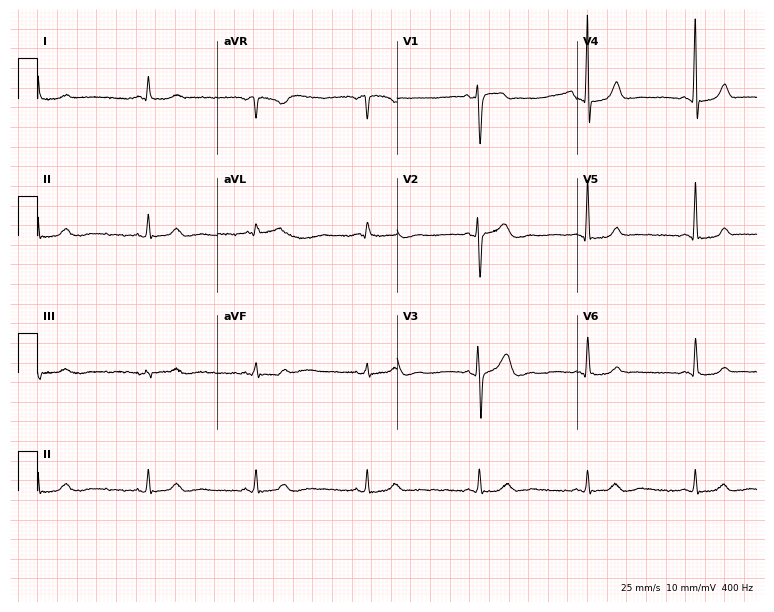
Resting 12-lead electrocardiogram. Patient: a 46-year-old male. None of these six findings is recorded: first-degree AV block, right bundle branch block, left bundle branch block, sinus bradycardia, atrial fibrillation, sinus tachycardia.